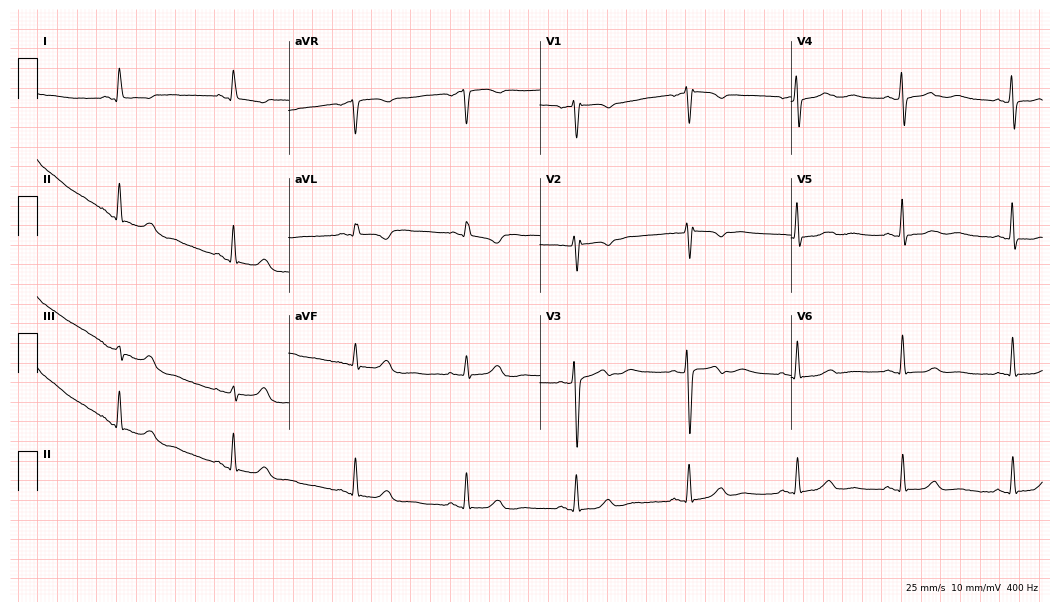
Electrocardiogram (10.2-second recording at 400 Hz), a 53-year-old female patient. Of the six screened findings (first-degree AV block, right bundle branch block (RBBB), left bundle branch block (LBBB), sinus bradycardia, atrial fibrillation (AF), sinus tachycardia), none is recorded. Only these six findings were labelled.